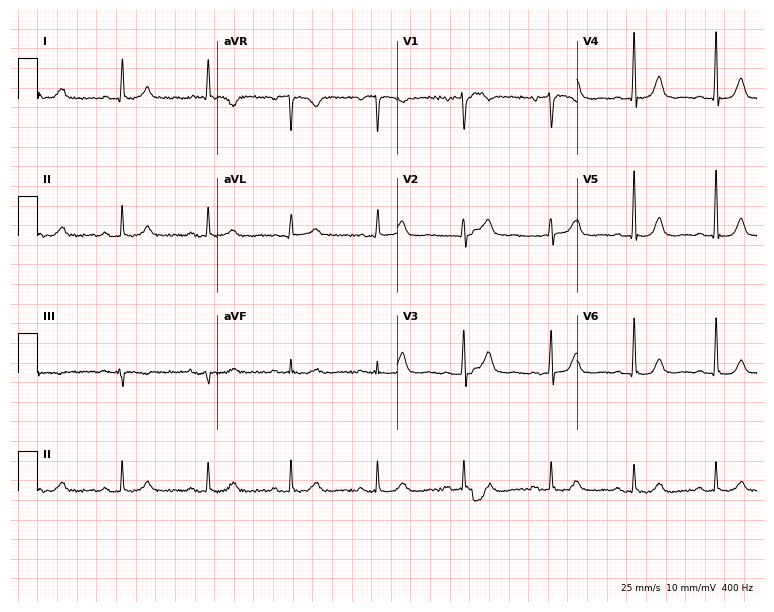
12-lead ECG from a 72-year-old female patient. Recorded interpretation: within normal limits.